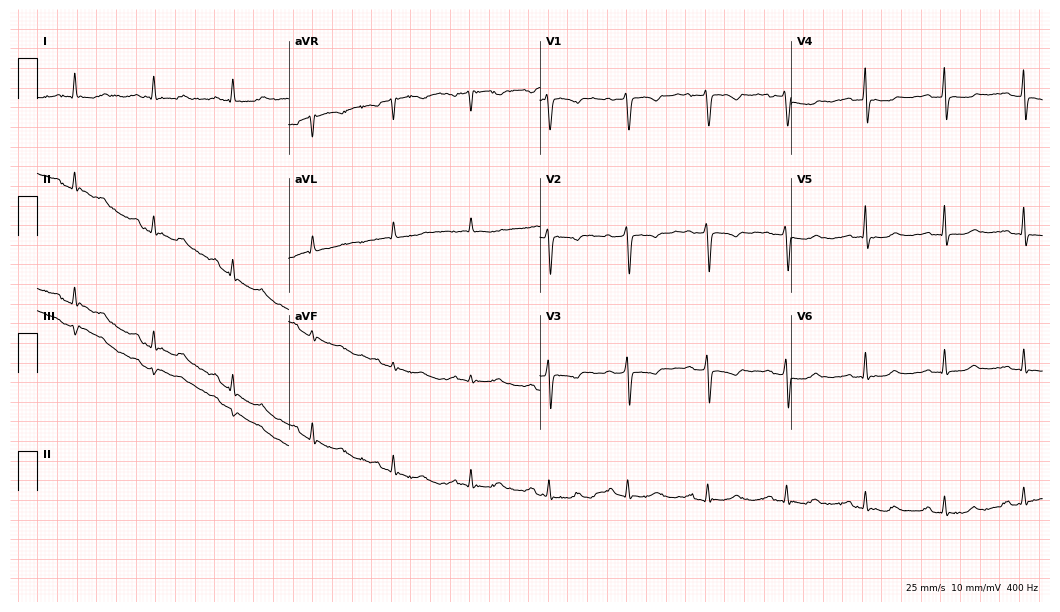
Standard 12-lead ECG recorded from a woman, 57 years old. None of these six findings is recorded: first-degree AV block, right bundle branch block (RBBB), left bundle branch block (LBBB), sinus bradycardia, atrial fibrillation (AF), sinus tachycardia.